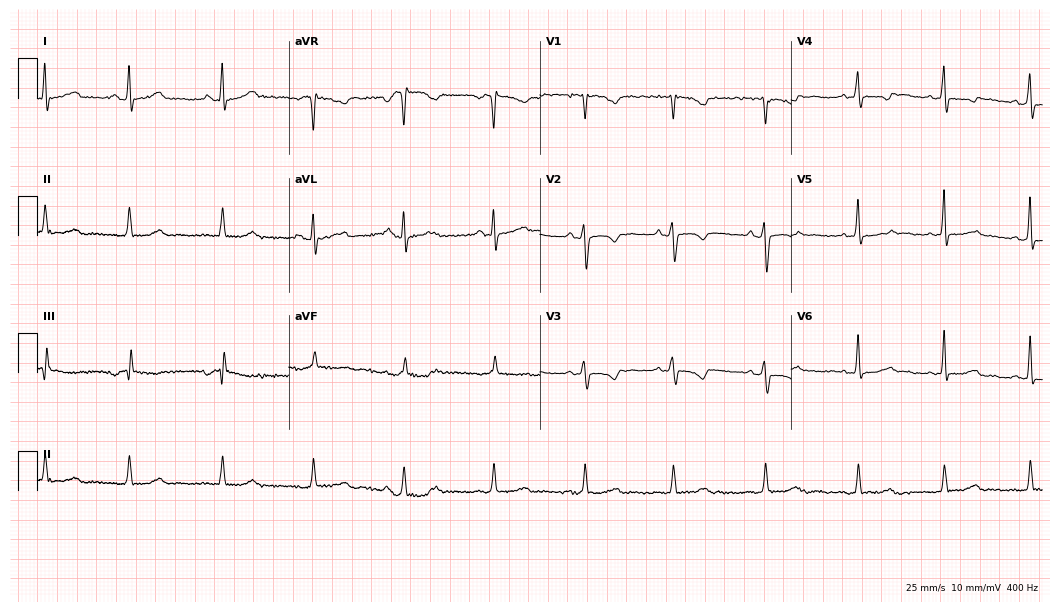
Resting 12-lead electrocardiogram (10.2-second recording at 400 Hz). Patient: a 31-year-old woman. Read as a normal ECG.